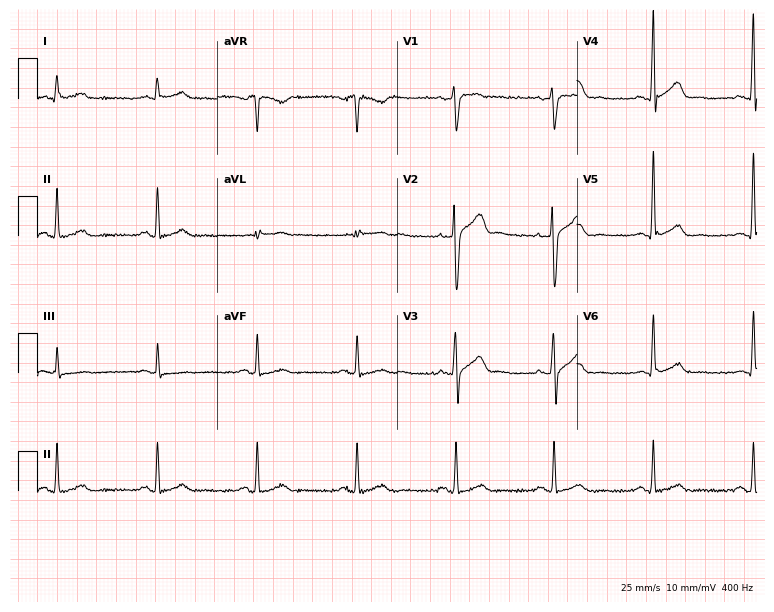
Standard 12-lead ECG recorded from a male, 21 years old (7.3-second recording at 400 Hz). None of these six findings is recorded: first-degree AV block, right bundle branch block, left bundle branch block, sinus bradycardia, atrial fibrillation, sinus tachycardia.